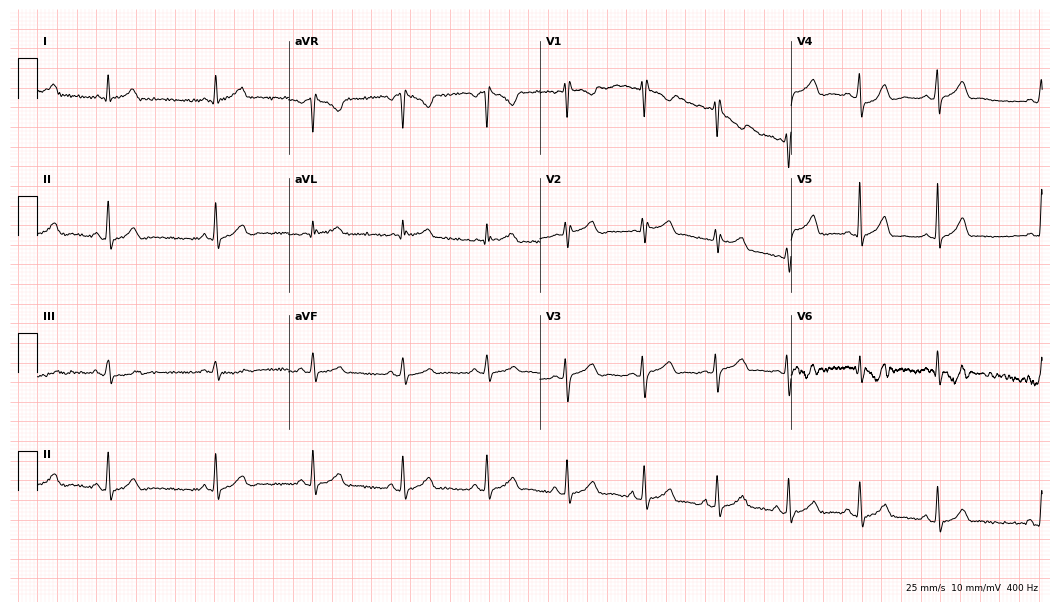
Resting 12-lead electrocardiogram (10.2-second recording at 400 Hz). Patient: a woman, 37 years old. Read as a normal ECG.